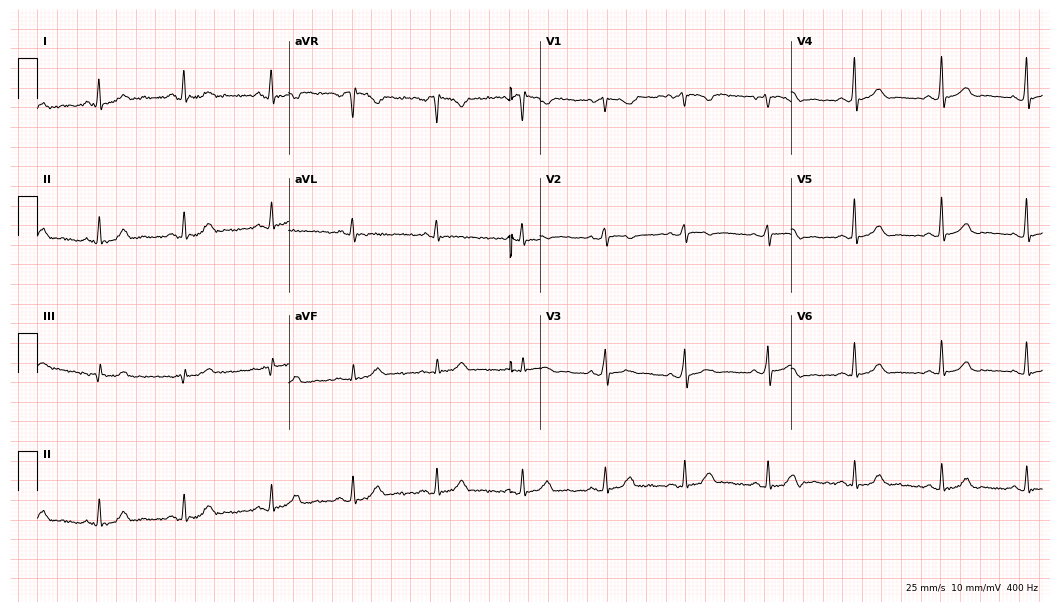
Standard 12-lead ECG recorded from a female patient, 55 years old (10.2-second recording at 400 Hz). Read as a normal ECG.